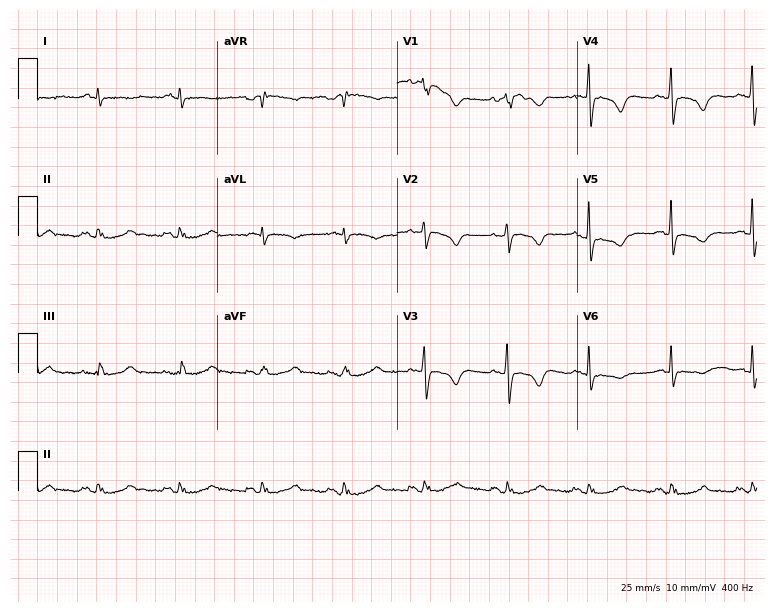
12-lead ECG from a 67-year-old male patient. No first-degree AV block, right bundle branch block, left bundle branch block, sinus bradycardia, atrial fibrillation or sinus tachycardia recorded for this tracing.